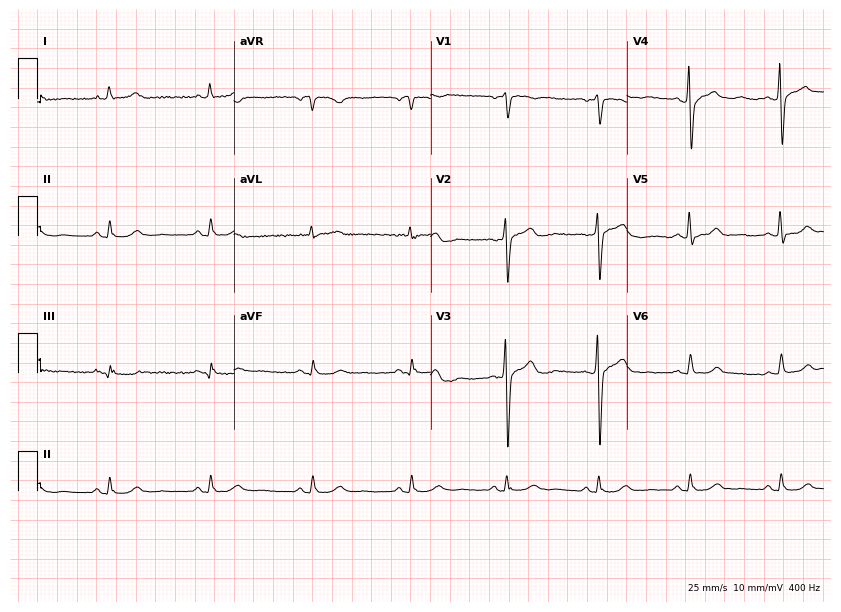
ECG — a man, 46 years old. Labelled as a normal ECG.